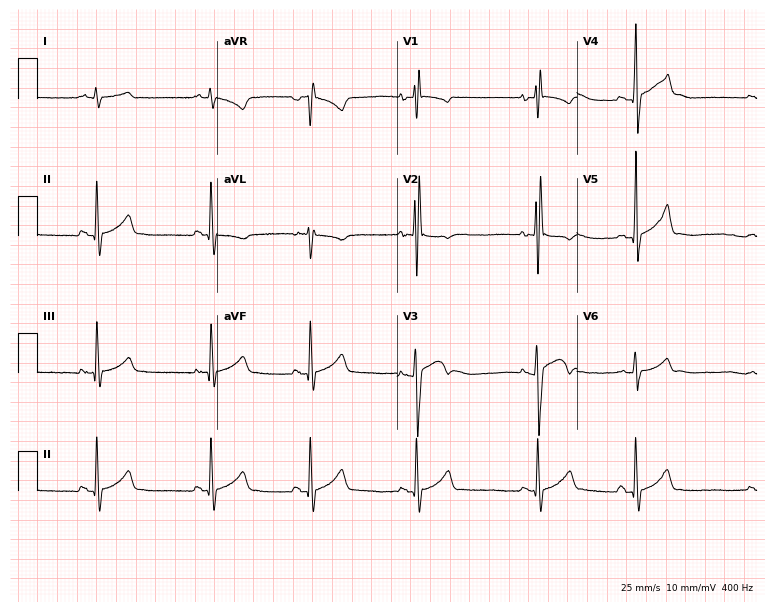
Standard 12-lead ECG recorded from a man, 18 years old. None of these six findings is recorded: first-degree AV block, right bundle branch block, left bundle branch block, sinus bradycardia, atrial fibrillation, sinus tachycardia.